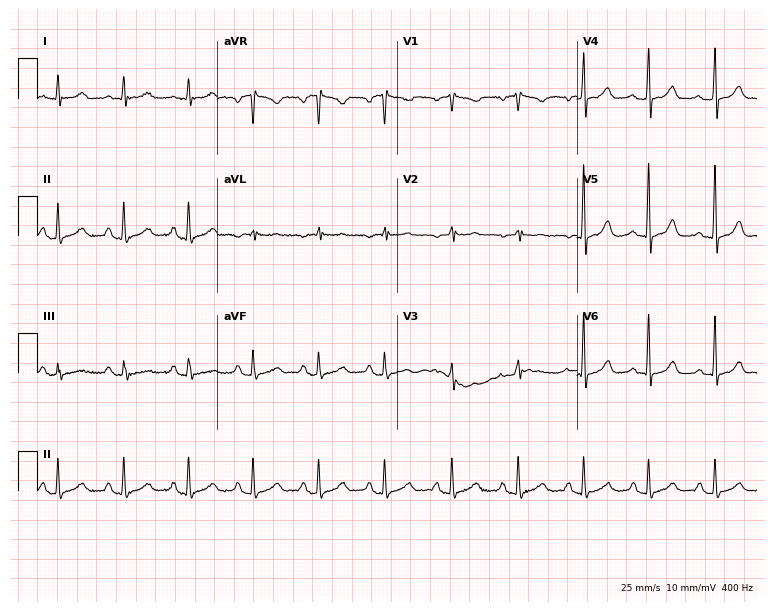
Standard 12-lead ECG recorded from a 61-year-old woman. Read as a normal ECG.